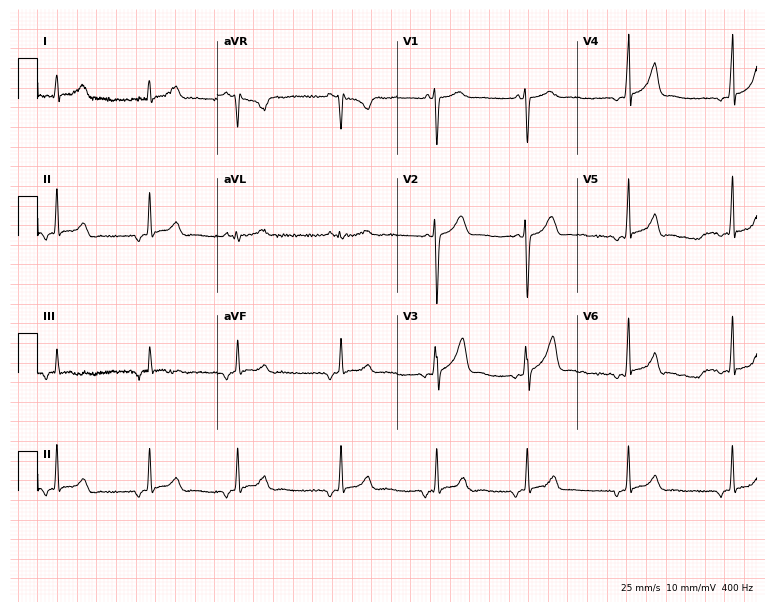
ECG (7.3-second recording at 400 Hz) — a 25-year-old female patient. Labelled as a normal ECG.